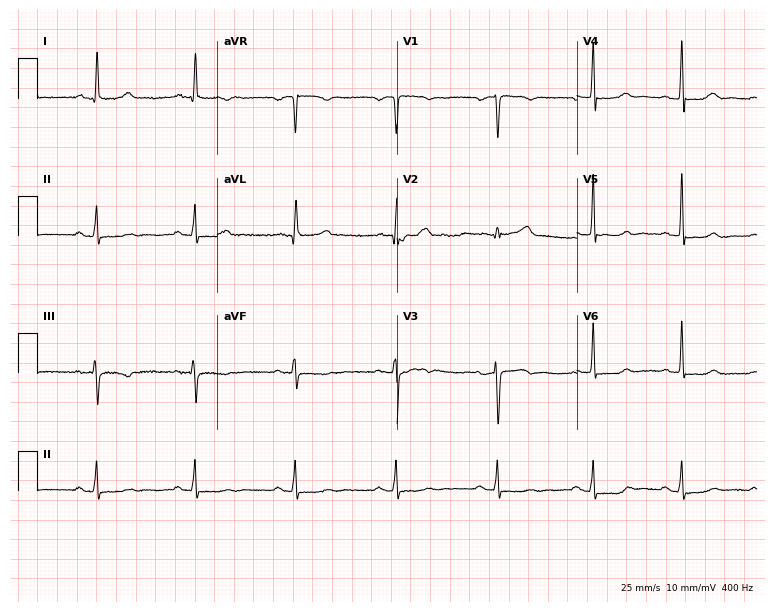
Resting 12-lead electrocardiogram. Patient: a woman, 67 years old. None of these six findings is recorded: first-degree AV block, right bundle branch block (RBBB), left bundle branch block (LBBB), sinus bradycardia, atrial fibrillation (AF), sinus tachycardia. Only these six findings were labelled.